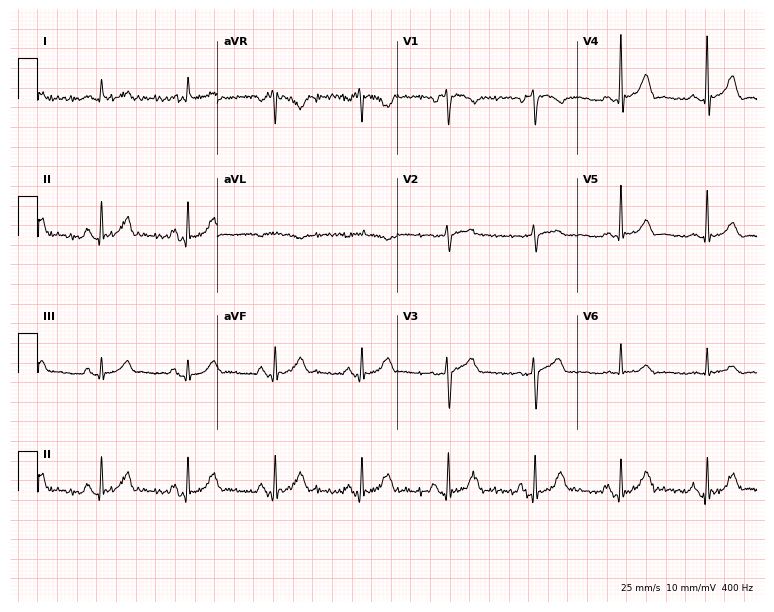
12-lead ECG from a male patient, 60 years old. Recorded interpretation: within normal limits.